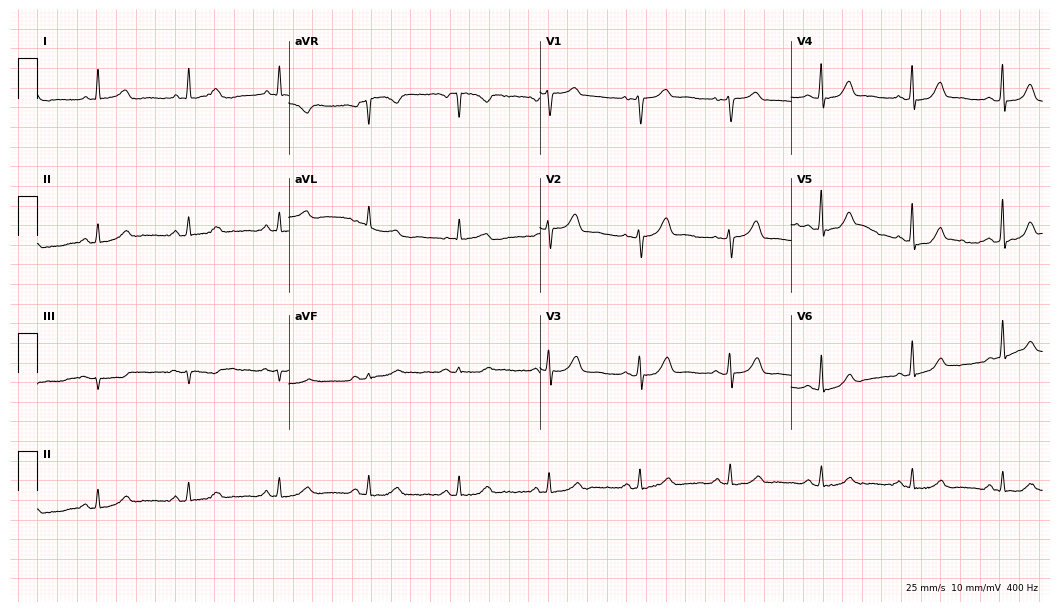
12-lead ECG from a woman, 62 years old (10.2-second recording at 400 Hz). No first-degree AV block, right bundle branch block (RBBB), left bundle branch block (LBBB), sinus bradycardia, atrial fibrillation (AF) or sinus tachycardia recorded for this tracing.